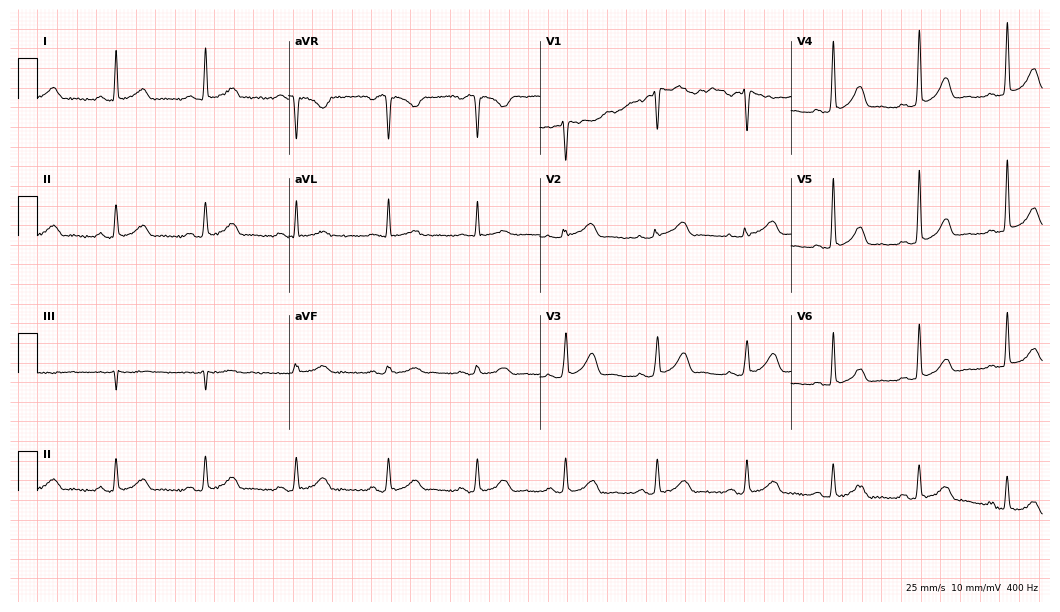
ECG — a female patient, 50 years old. Screened for six findings — first-degree AV block, right bundle branch block (RBBB), left bundle branch block (LBBB), sinus bradycardia, atrial fibrillation (AF), sinus tachycardia — none is recorded.